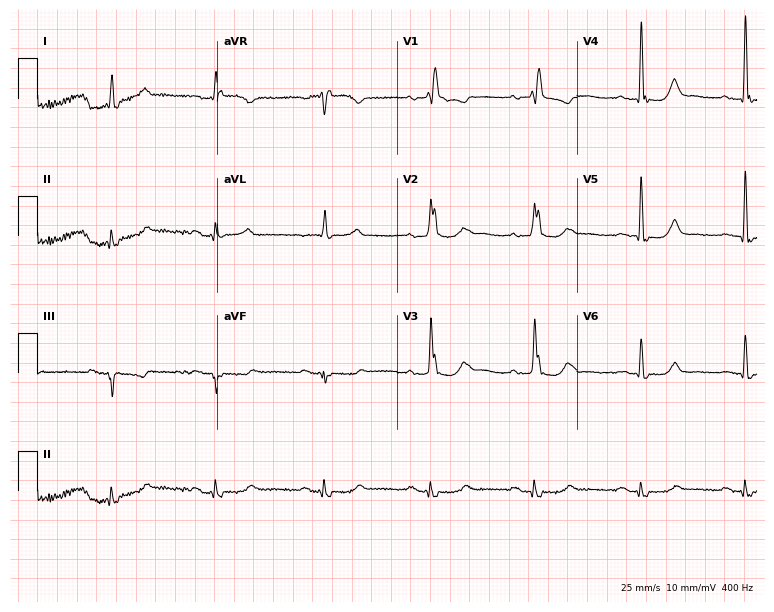
ECG (7.3-second recording at 400 Hz) — a 68-year-old woman. Findings include right bundle branch block (RBBB).